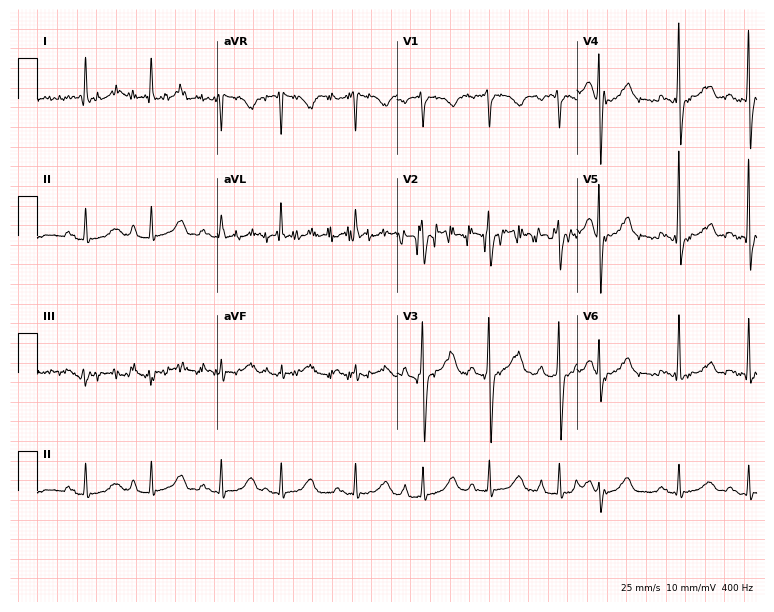
Resting 12-lead electrocardiogram (7.3-second recording at 400 Hz). Patient: a 65-year-old female. None of these six findings is recorded: first-degree AV block, right bundle branch block, left bundle branch block, sinus bradycardia, atrial fibrillation, sinus tachycardia. Other findings, if any, are not listed.